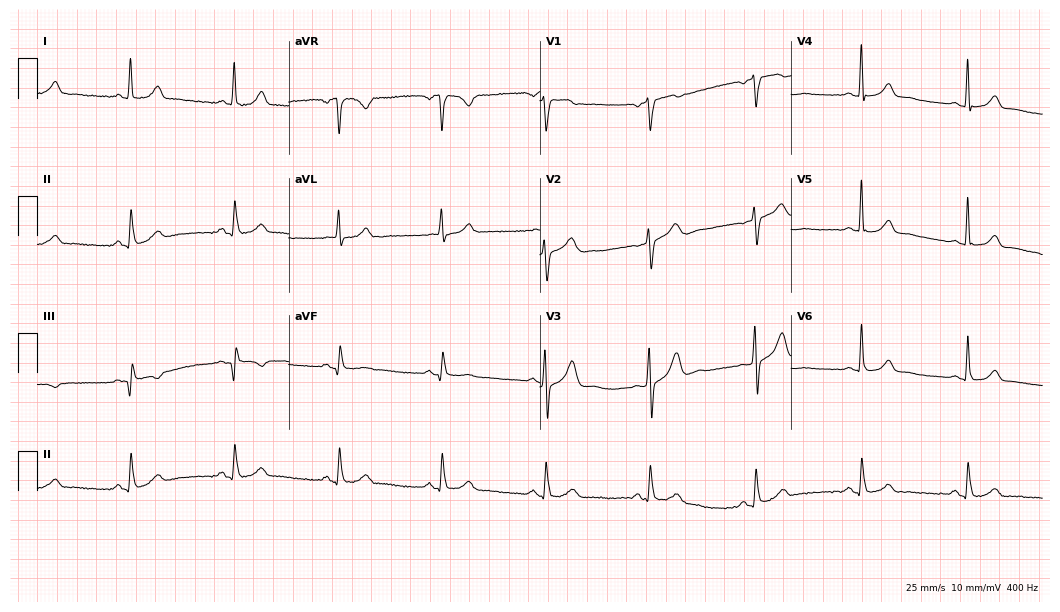
ECG — a female, 59 years old. Labelled as a normal ECG.